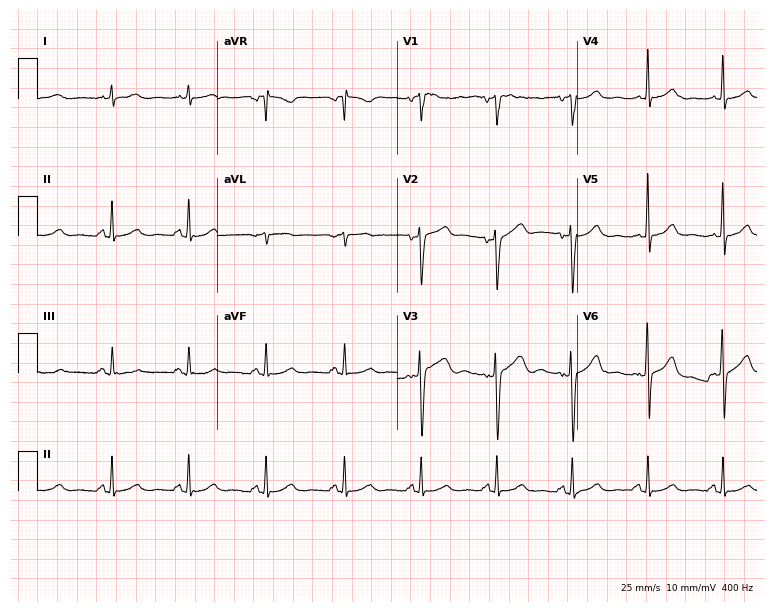
12-lead ECG from a 28-year-old male. No first-degree AV block, right bundle branch block (RBBB), left bundle branch block (LBBB), sinus bradycardia, atrial fibrillation (AF) or sinus tachycardia recorded for this tracing. Only these six findings were labelled.